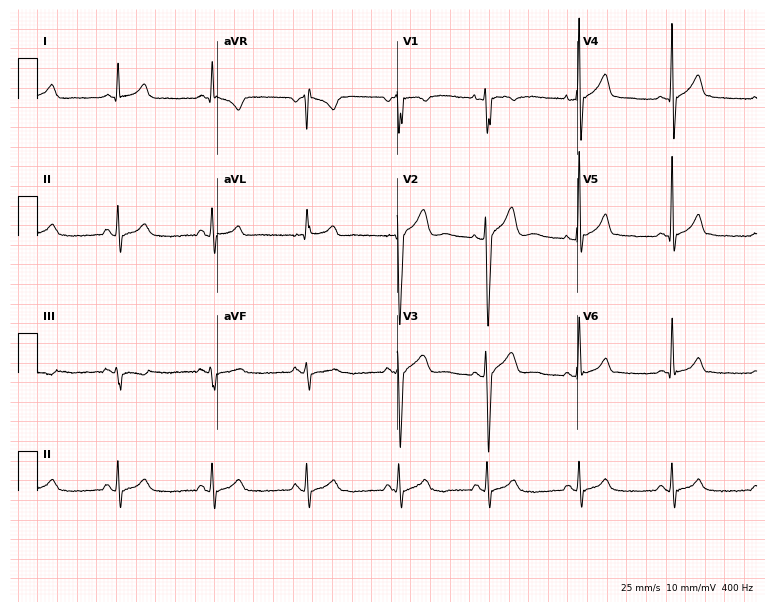
12-lead ECG from a 45-year-old male (7.3-second recording at 400 Hz). No first-degree AV block, right bundle branch block, left bundle branch block, sinus bradycardia, atrial fibrillation or sinus tachycardia recorded for this tracing.